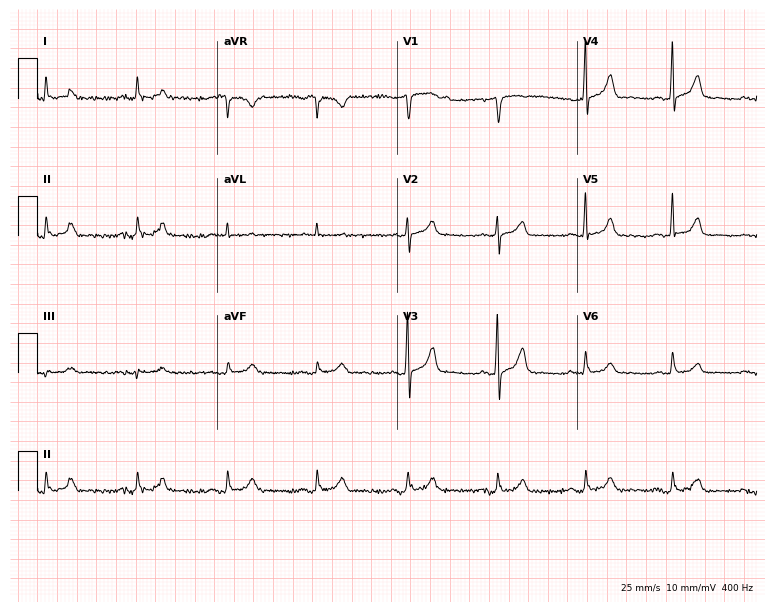
12-lead ECG (7.3-second recording at 400 Hz) from a male patient, 69 years old. Labelled as a normal ECG.